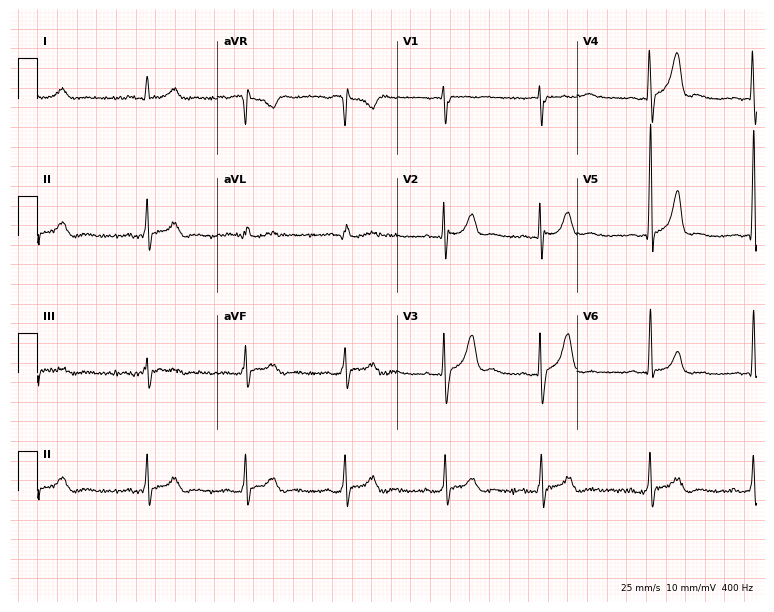
Resting 12-lead electrocardiogram. Patient: a 30-year-old male. The tracing shows first-degree AV block.